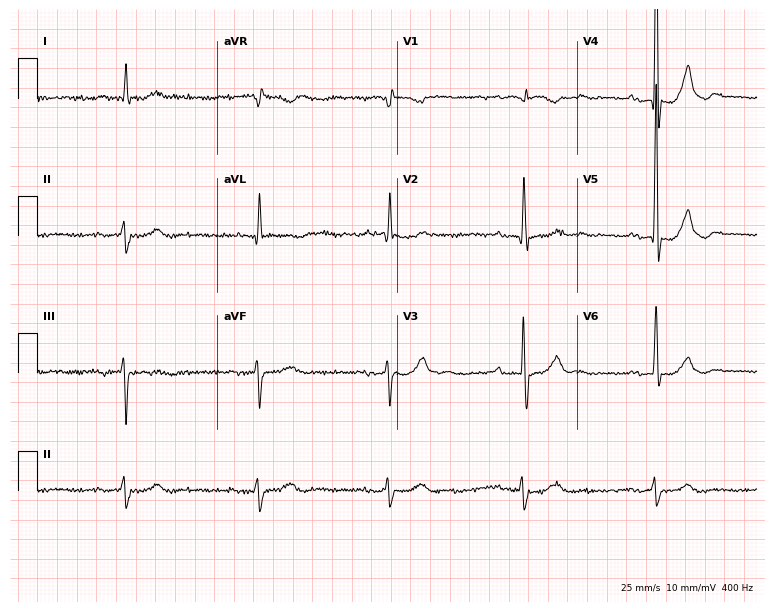
12-lead ECG (7.3-second recording at 400 Hz) from a male patient, 78 years old. Screened for six findings — first-degree AV block, right bundle branch block, left bundle branch block, sinus bradycardia, atrial fibrillation, sinus tachycardia — none is recorded.